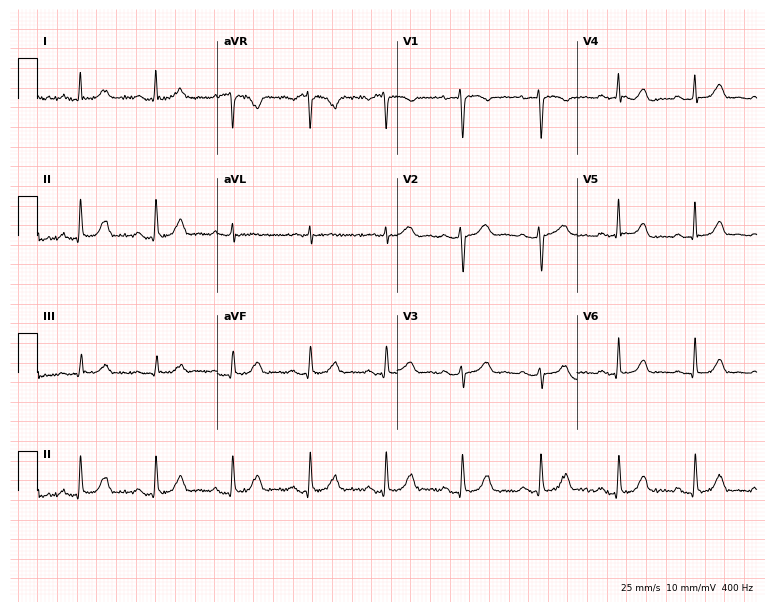
12-lead ECG from a woman, 52 years old. Screened for six findings — first-degree AV block, right bundle branch block (RBBB), left bundle branch block (LBBB), sinus bradycardia, atrial fibrillation (AF), sinus tachycardia — none is recorded. Findings outside these six are not listed.